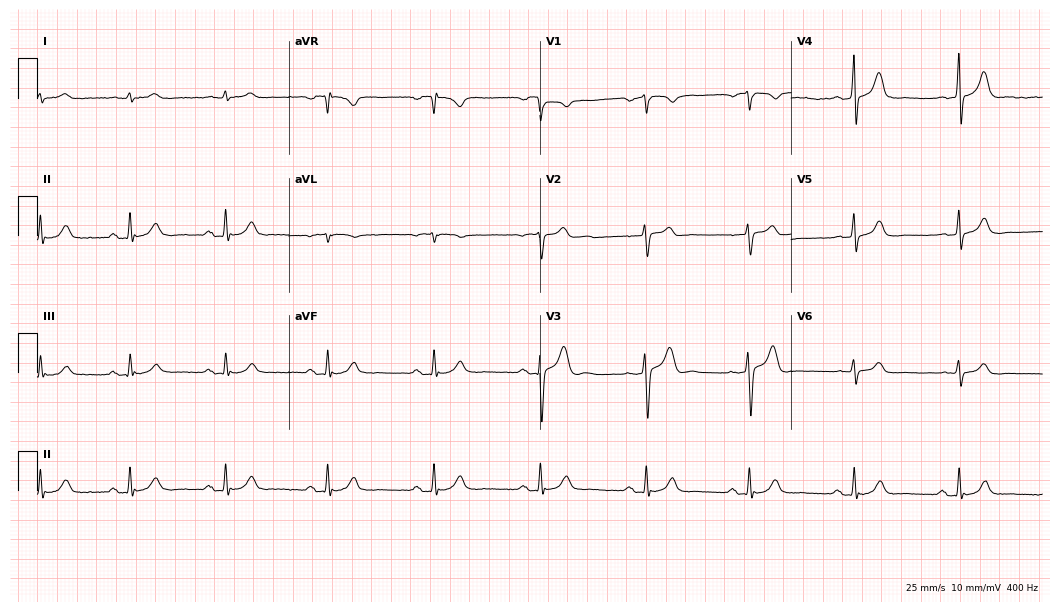
Resting 12-lead electrocardiogram (10.2-second recording at 400 Hz). Patient: a 31-year-old man. Read as a normal ECG.